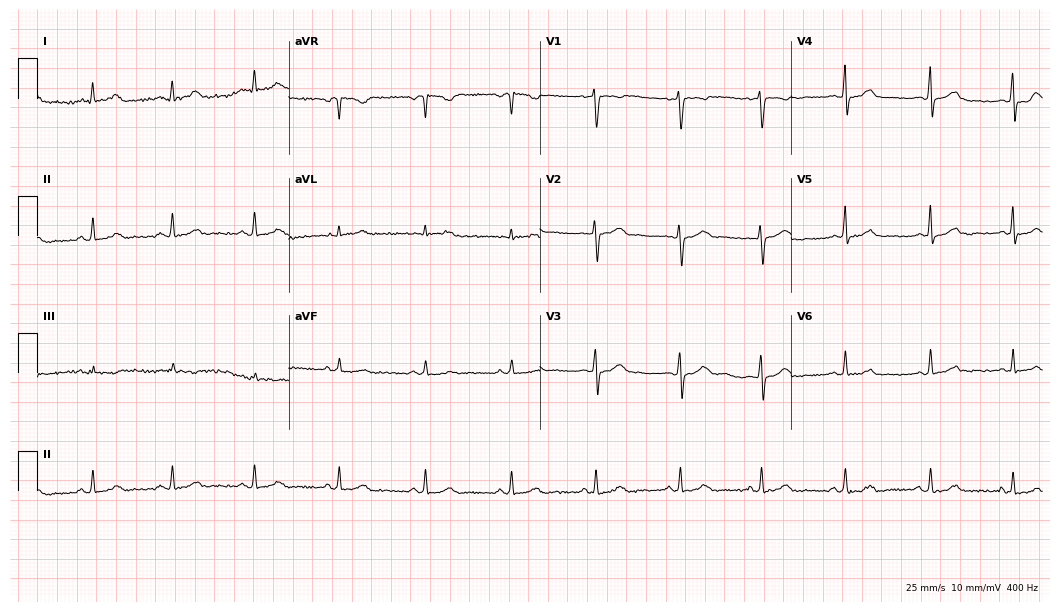
ECG — a woman, 28 years old. Screened for six findings — first-degree AV block, right bundle branch block (RBBB), left bundle branch block (LBBB), sinus bradycardia, atrial fibrillation (AF), sinus tachycardia — none is recorded. Only these six findings were labelled.